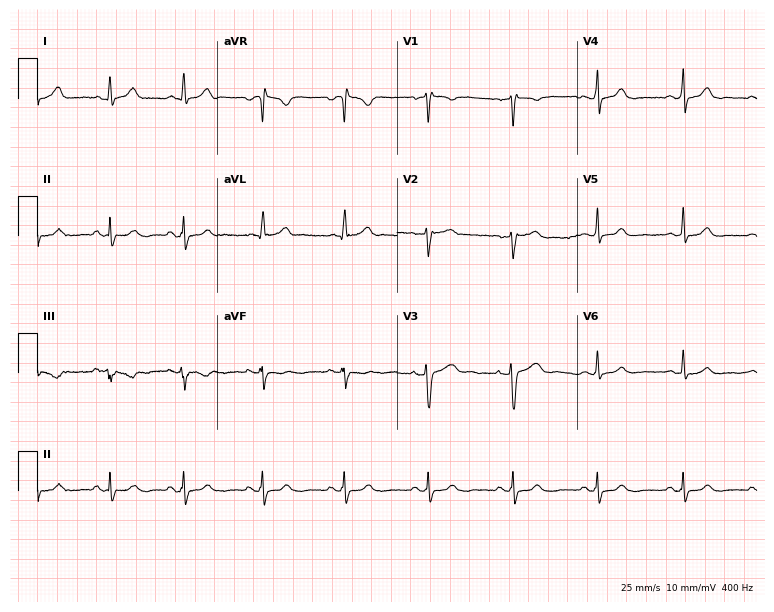
Resting 12-lead electrocardiogram (7.3-second recording at 400 Hz). Patient: a female, 55 years old. None of these six findings is recorded: first-degree AV block, right bundle branch block (RBBB), left bundle branch block (LBBB), sinus bradycardia, atrial fibrillation (AF), sinus tachycardia.